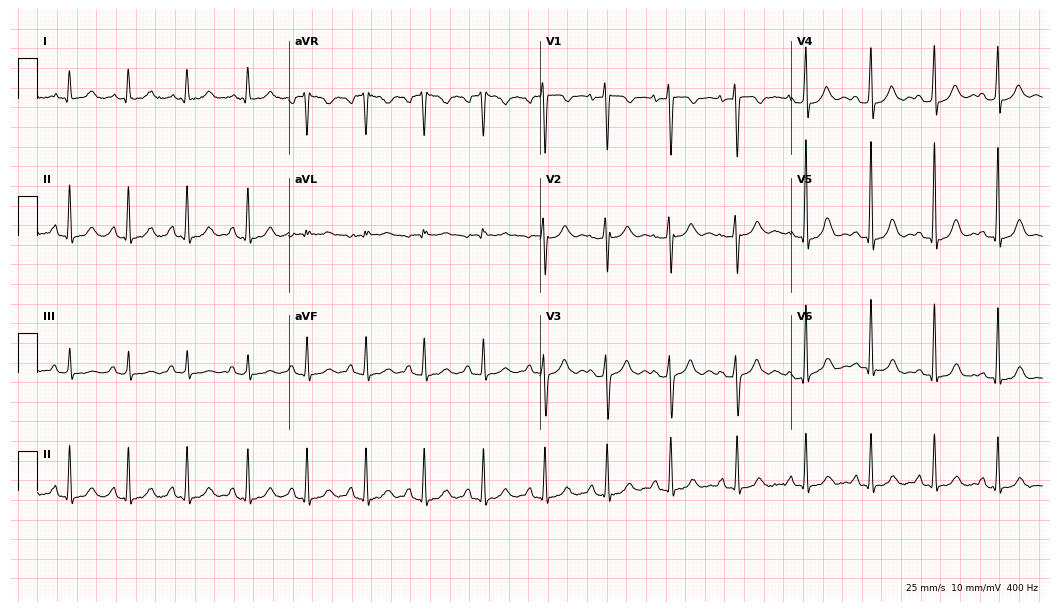
Electrocardiogram (10.2-second recording at 400 Hz), a 29-year-old female patient. Of the six screened findings (first-degree AV block, right bundle branch block, left bundle branch block, sinus bradycardia, atrial fibrillation, sinus tachycardia), none is recorded.